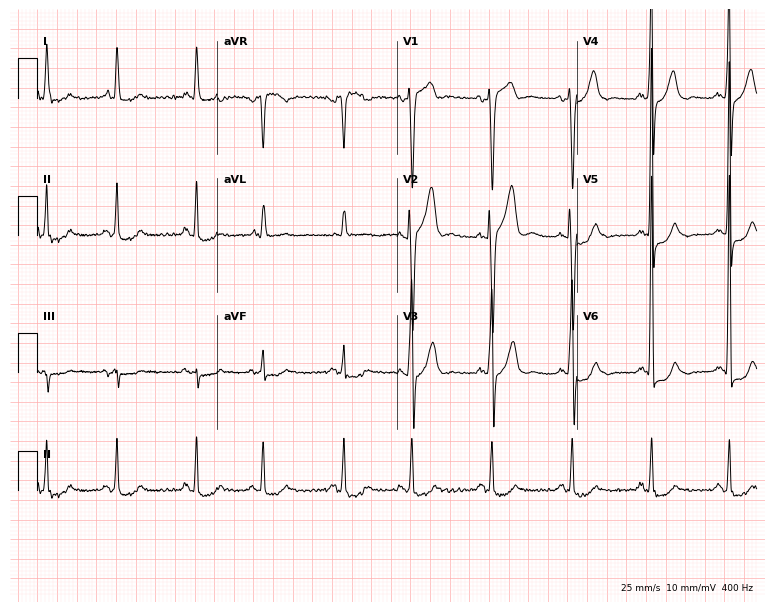
Standard 12-lead ECG recorded from an 84-year-old male patient (7.3-second recording at 400 Hz). None of these six findings is recorded: first-degree AV block, right bundle branch block (RBBB), left bundle branch block (LBBB), sinus bradycardia, atrial fibrillation (AF), sinus tachycardia. Only these six findings were labelled.